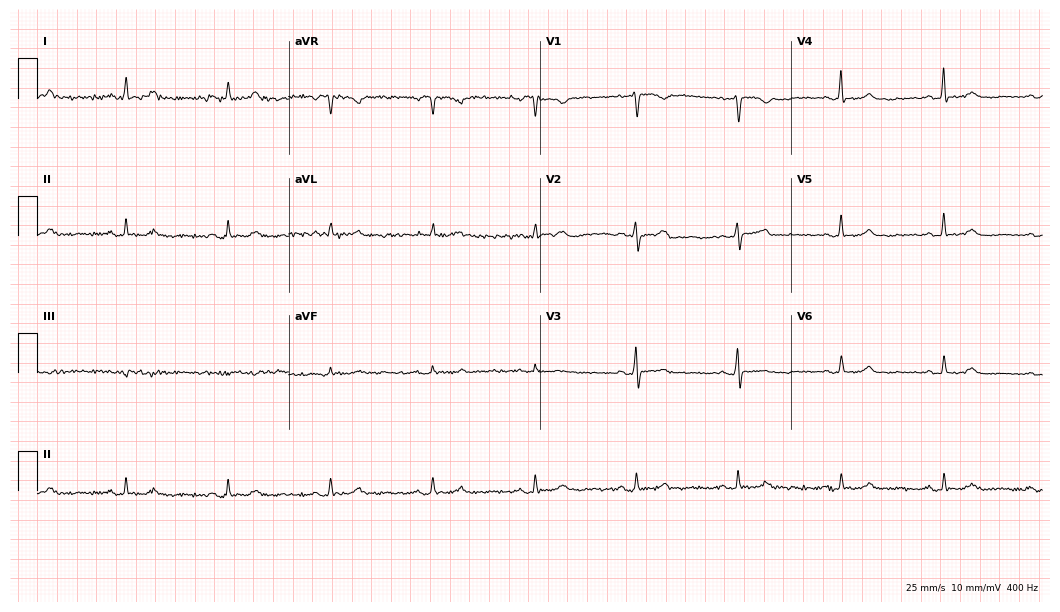
12-lead ECG from a 52-year-old female patient. Labelled as a normal ECG.